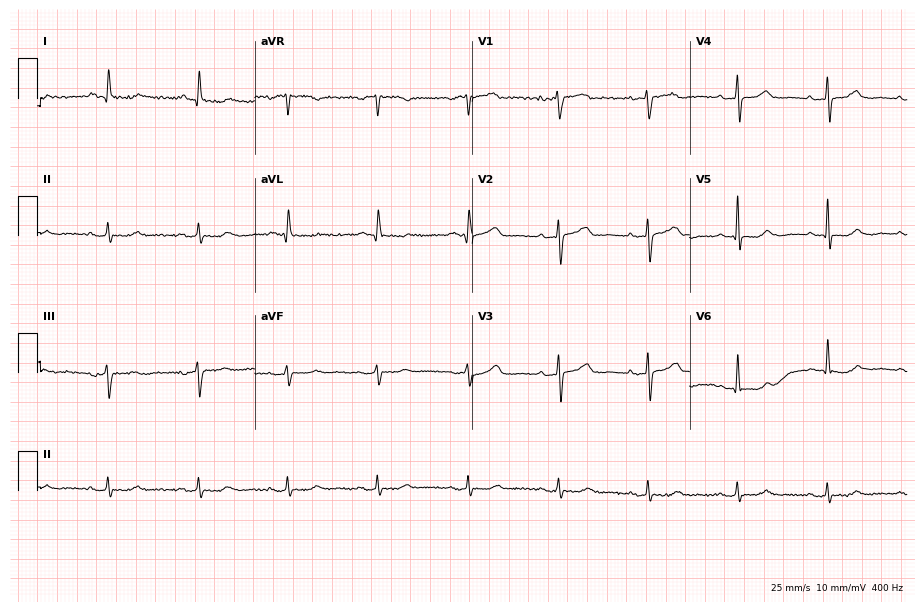
12-lead ECG from a male patient, 83 years old. Screened for six findings — first-degree AV block, right bundle branch block (RBBB), left bundle branch block (LBBB), sinus bradycardia, atrial fibrillation (AF), sinus tachycardia — none is recorded.